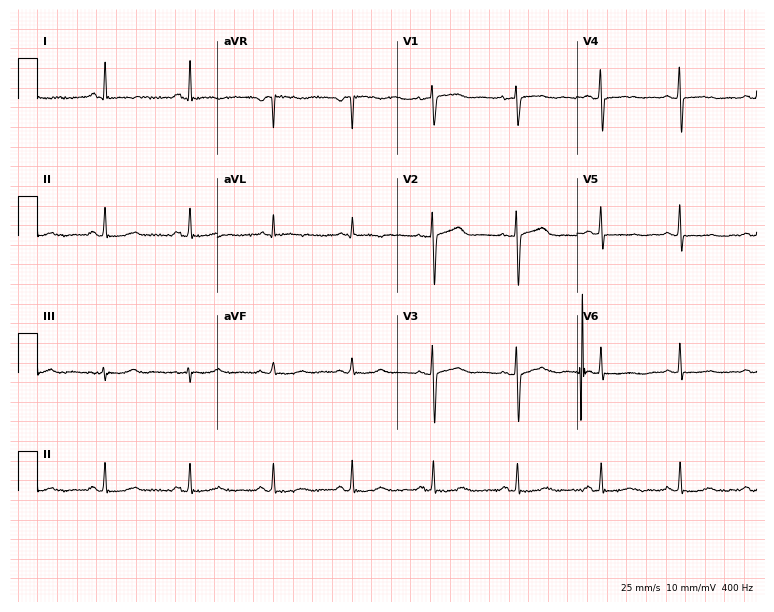
Standard 12-lead ECG recorded from a female, 37 years old. None of these six findings is recorded: first-degree AV block, right bundle branch block (RBBB), left bundle branch block (LBBB), sinus bradycardia, atrial fibrillation (AF), sinus tachycardia. Other findings, if any, are not listed.